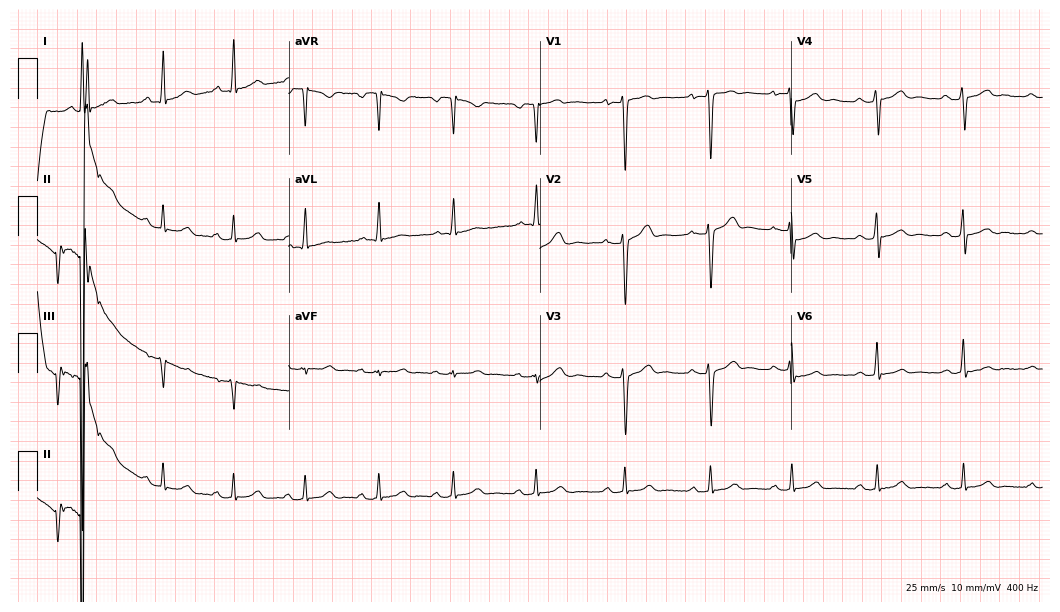
ECG (10.2-second recording at 400 Hz) — a 33-year-old man. Labelled as a normal ECG.